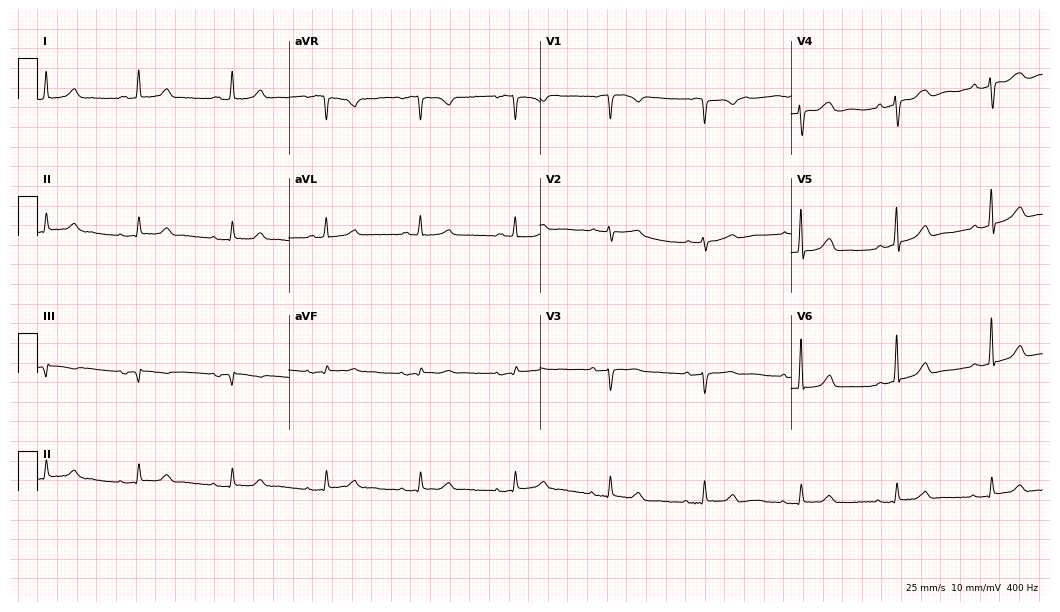
Standard 12-lead ECG recorded from a female patient, 73 years old. Read as a normal ECG.